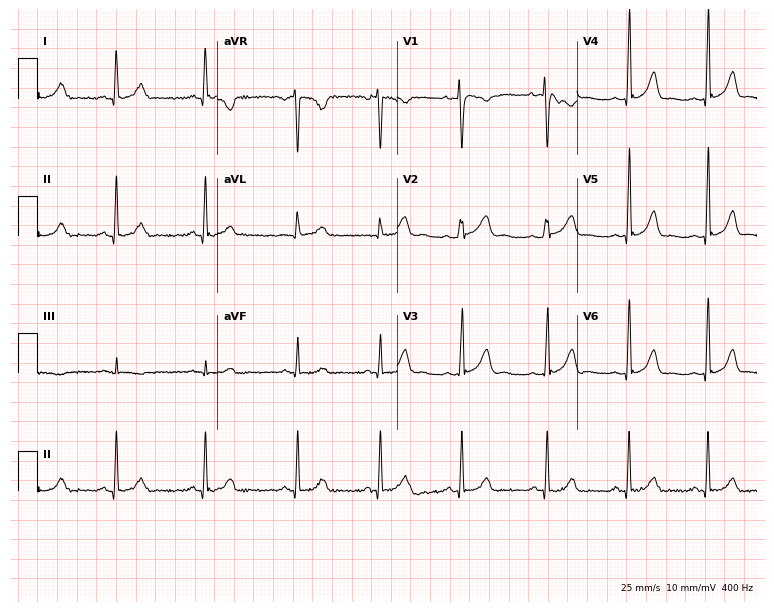
Standard 12-lead ECG recorded from a female, 18 years old. None of these six findings is recorded: first-degree AV block, right bundle branch block, left bundle branch block, sinus bradycardia, atrial fibrillation, sinus tachycardia.